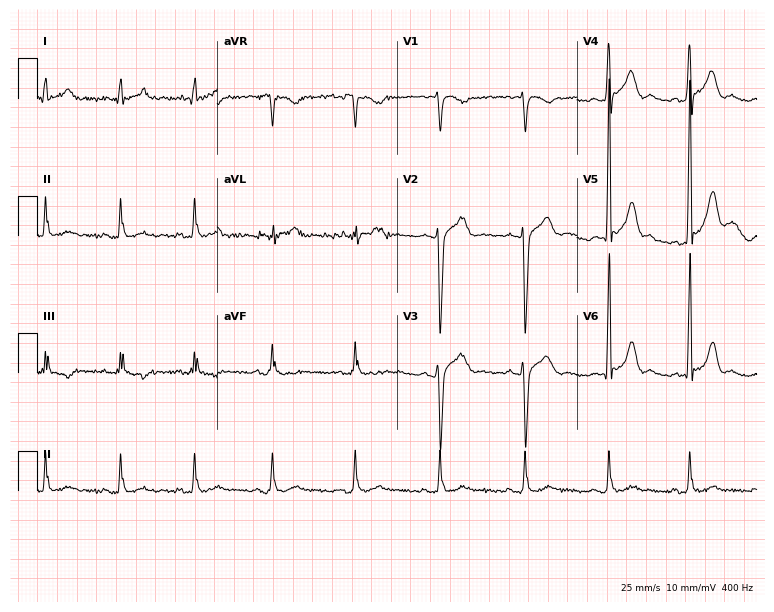
Standard 12-lead ECG recorded from a male patient, 22 years old (7.3-second recording at 400 Hz). Read as a normal ECG.